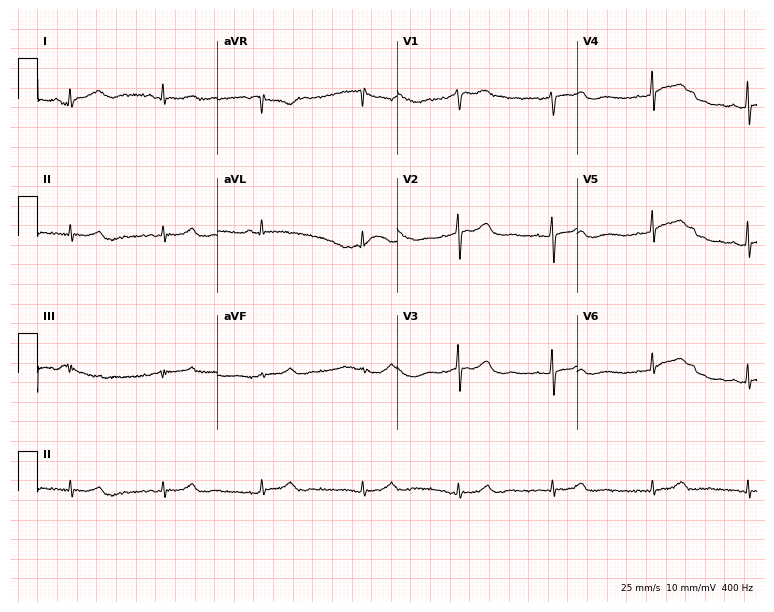
ECG — a 61-year-old woman. Screened for six findings — first-degree AV block, right bundle branch block, left bundle branch block, sinus bradycardia, atrial fibrillation, sinus tachycardia — none is recorded.